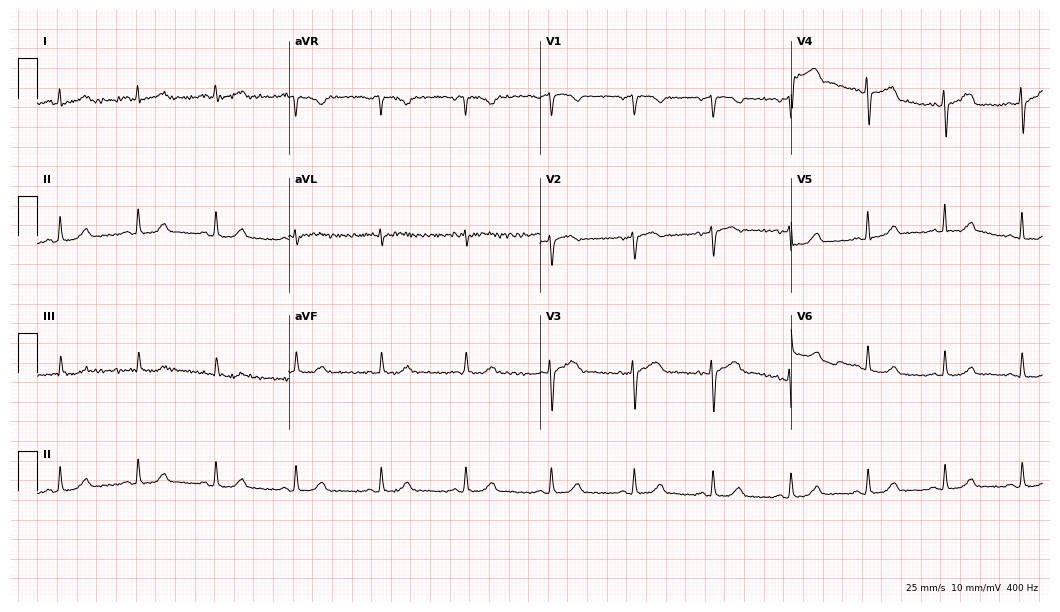
ECG — a 43-year-old female patient. Labelled as a normal ECG.